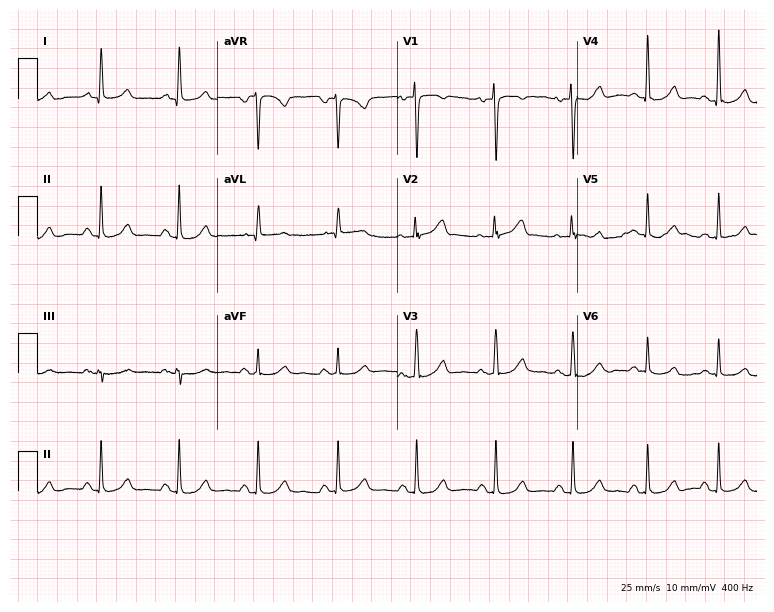
12-lead ECG from a 50-year-old female. Recorded interpretation: within normal limits.